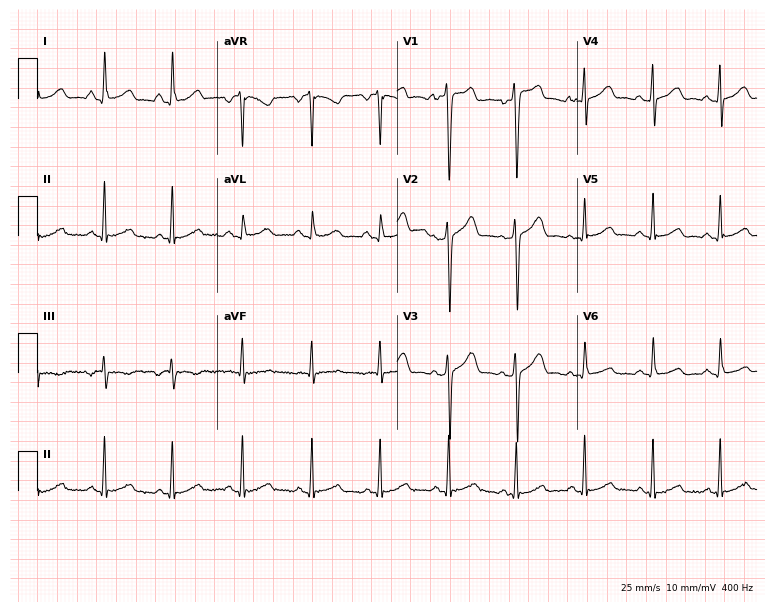
Resting 12-lead electrocardiogram. Patient: a woman, 38 years old. Read as a normal ECG.